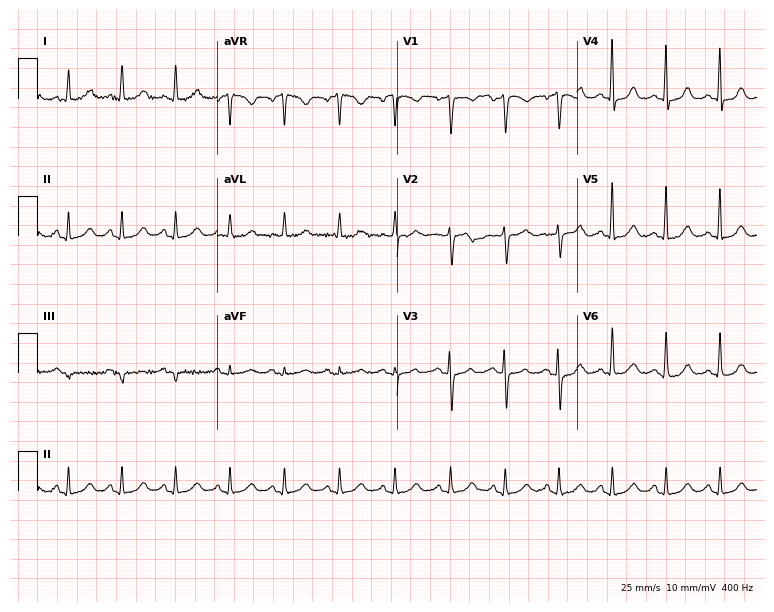
Electrocardiogram, a 51-year-old female. Interpretation includes sinus tachycardia (a sinus rate of 100 beats per minute or more).